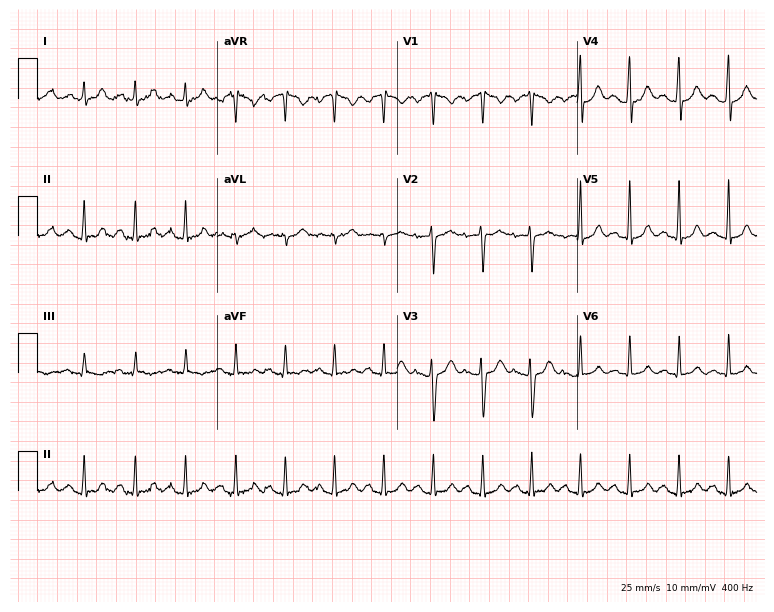
ECG — a woman, 28 years old. Screened for six findings — first-degree AV block, right bundle branch block, left bundle branch block, sinus bradycardia, atrial fibrillation, sinus tachycardia — none is recorded.